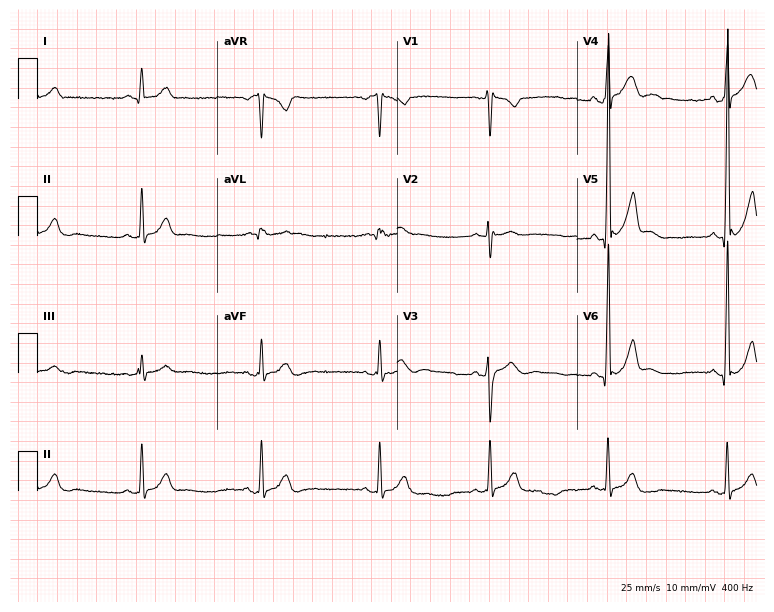
Resting 12-lead electrocardiogram. Patient: a man, 35 years old. Read as a normal ECG.